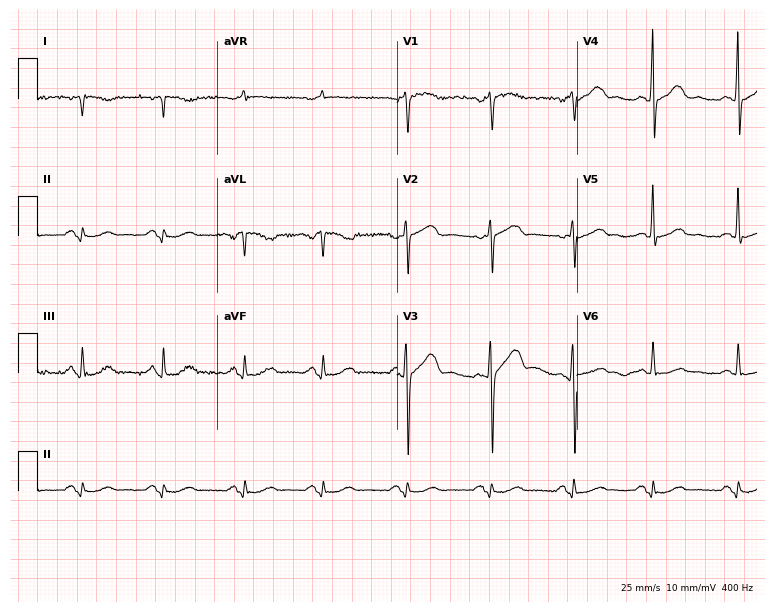
Standard 12-lead ECG recorded from a female patient, 63 years old (7.3-second recording at 400 Hz). None of these six findings is recorded: first-degree AV block, right bundle branch block, left bundle branch block, sinus bradycardia, atrial fibrillation, sinus tachycardia.